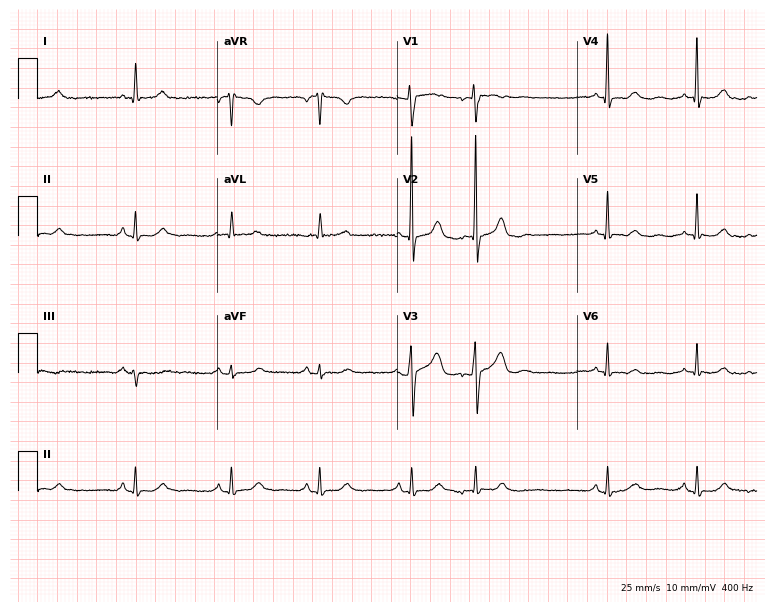
Standard 12-lead ECG recorded from a woman, 79 years old (7.3-second recording at 400 Hz). None of these six findings is recorded: first-degree AV block, right bundle branch block, left bundle branch block, sinus bradycardia, atrial fibrillation, sinus tachycardia. Findings outside these six are not listed.